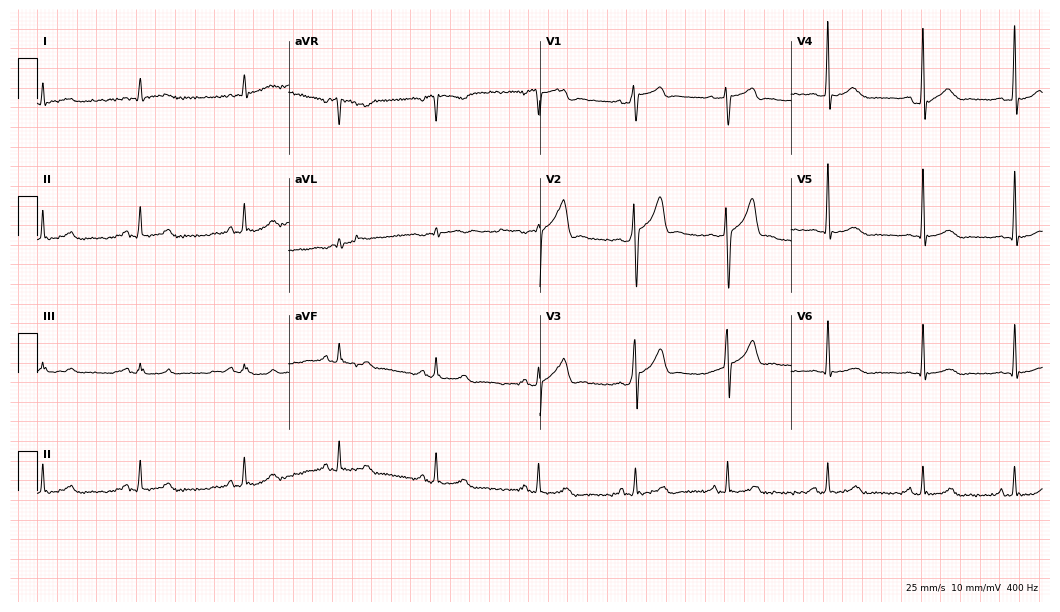
Electrocardiogram, a man, 43 years old. Overall reading on record: normal ECG.